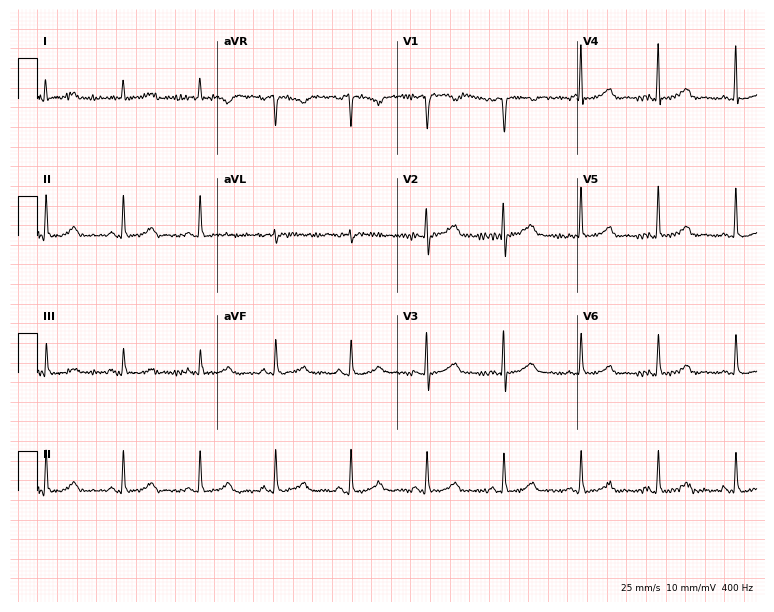
ECG — a 65-year-old female patient. Screened for six findings — first-degree AV block, right bundle branch block, left bundle branch block, sinus bradycardia, atrial fibrillation, sinus tachycardia — none is recorded.